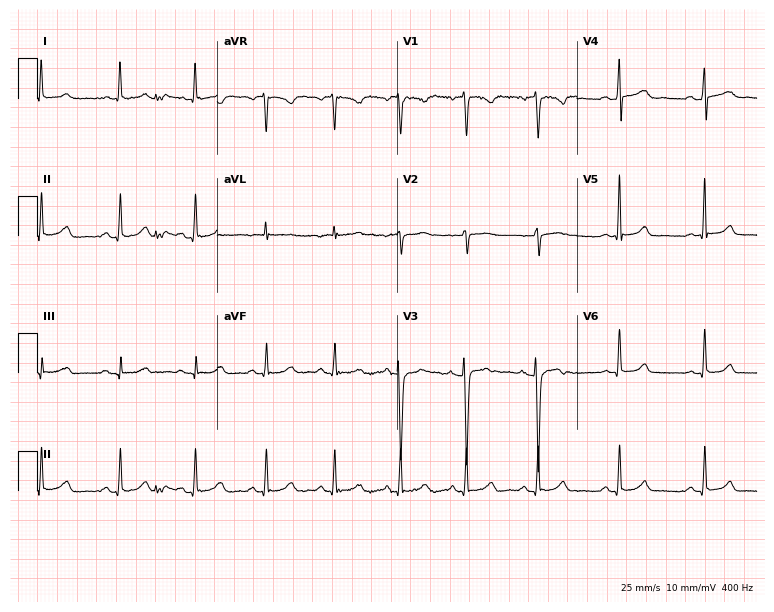
12-lead ECG from a 26-year-old female patient (7.3-second recording at 400 Hz). Recorded interpretation: within normal limits.